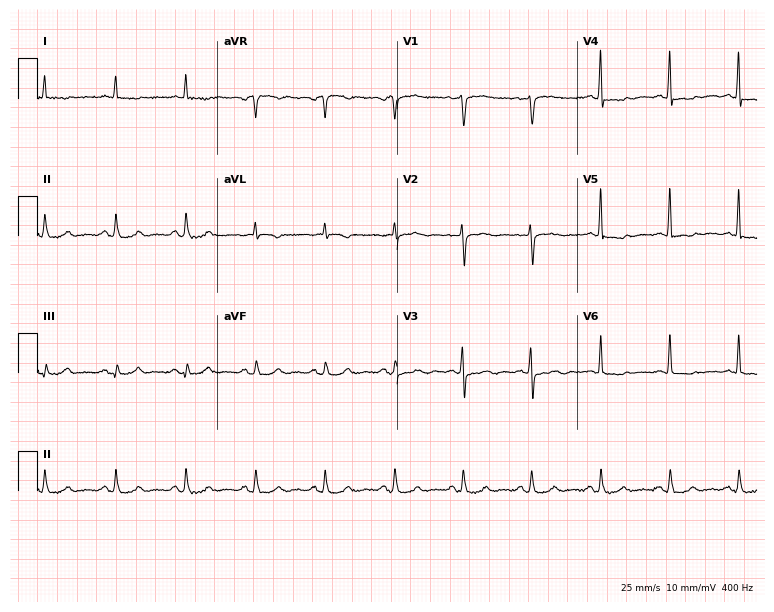
ECG (7.3-second recording at 400 Hz) — a man, 81 years old. Screened for six findings — first-degree AV block, right bundle branch block, left bundle branch block, sinus bradycardia, atrial fibrillation, sinus tachycardia — none is recorded. Other findings, if any, are not listed.